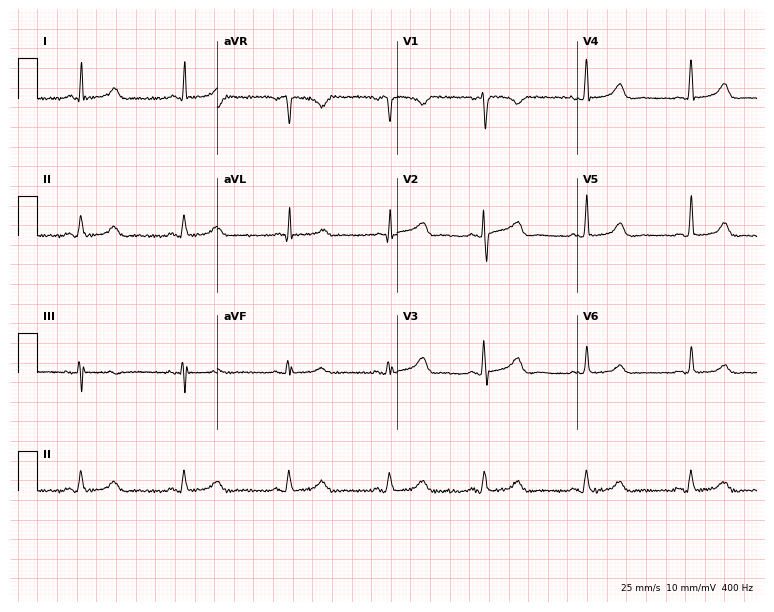
Electrocardiogram, a woman, 59 years old. Overall reading on record: normal ECG.